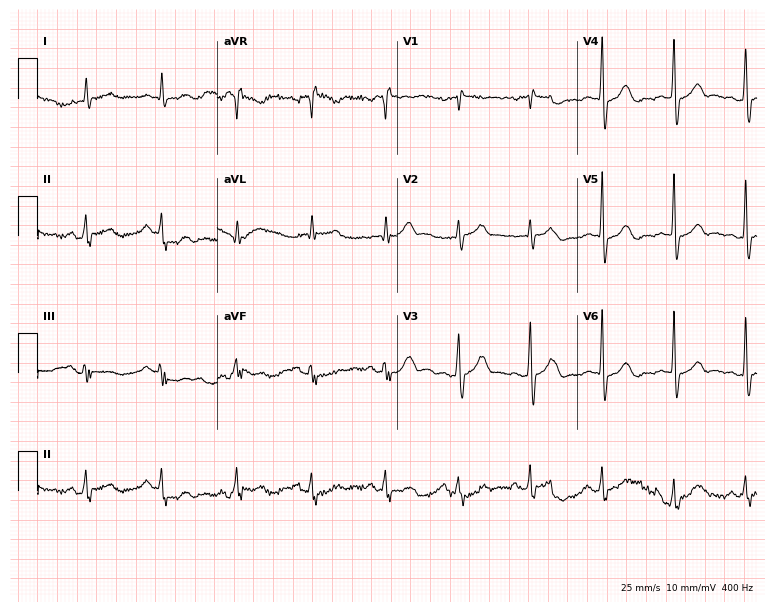
Resting 12-lead electrocardiogram (7.3-second recording at 400 Hz). Patient: a 75-year-old male. Read as a normal ECG.